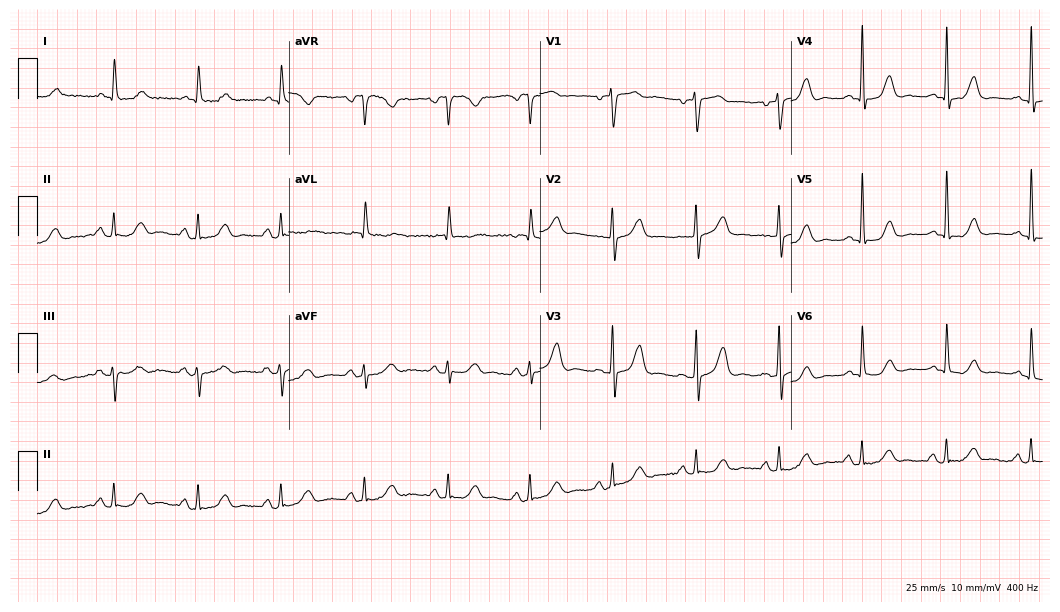
12-lead ECG (10.2-second recording at 400 Hz) from a 73-year-old female patient. Labelled as a normal ECG.